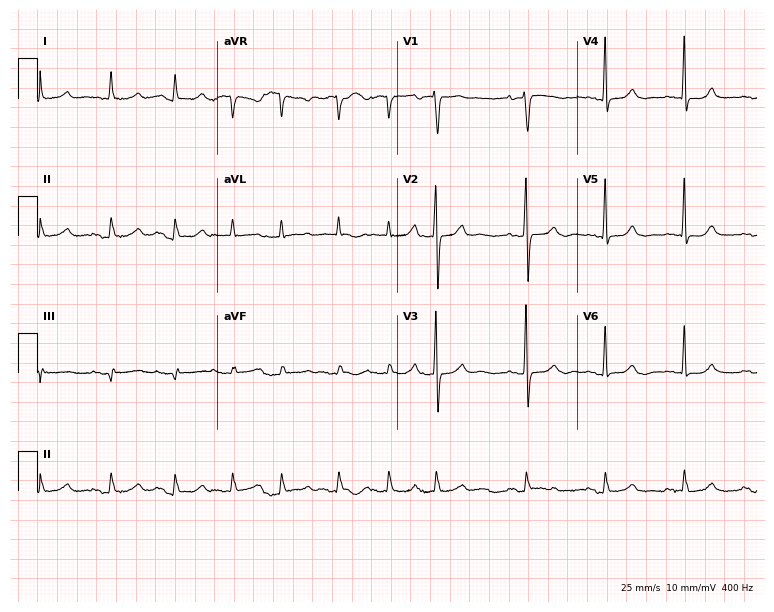
12-lead ECG (7.3-second recording at 400 Hz) from an 84-year-old female patient. Screened for six findings — first-degree AV block, right bundle branch block, left bundle branch block, sinus bradycardia, atrial fibrillation, sinus tachycardia — none is recorded.